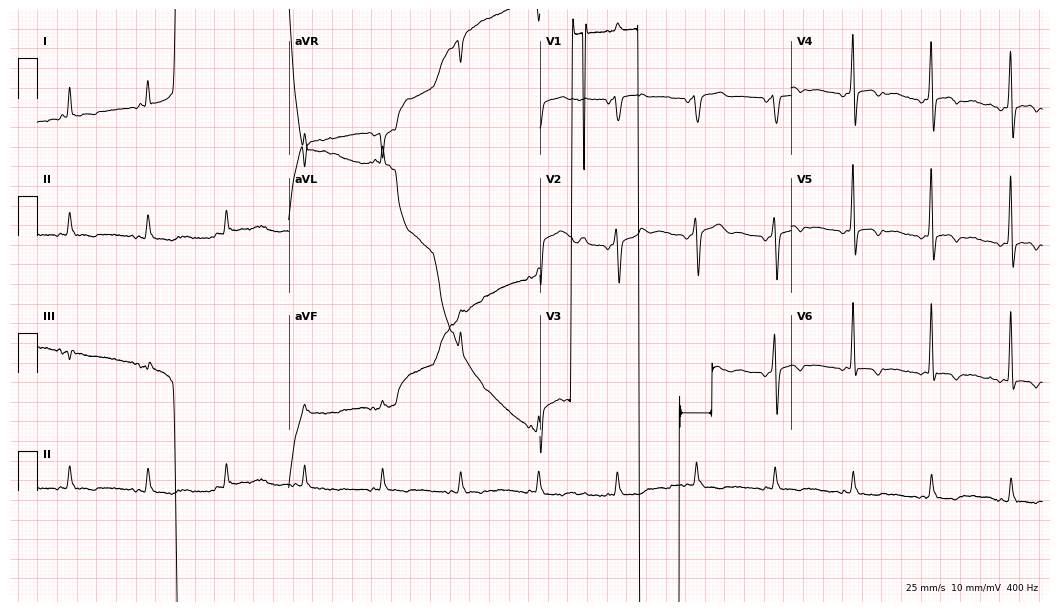
ECG (10.2-second recording at 400 Hz) — a 75-year-old male. Screened for six findings — first-degree AV block, right bundle branch block (RBBB), left bundle branch block (LBBB), sinus bradycardia, atrial fibrillation (AF), sinus tachycardia — none is recorded. Findings outside these six are not listed.